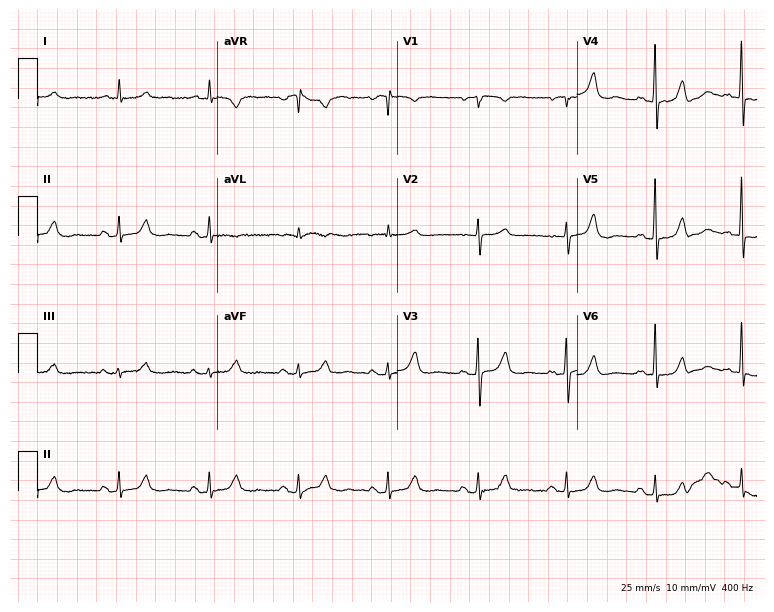
ECG (7.3-second recording at 400 Hz) — a woman, 78 years old. Screened for six findings — first-degree AV block, right bundle branch block, left bundle branch block, sinus bradycardia, atrial fibrillation, sinus tachycardia — none is recorded.